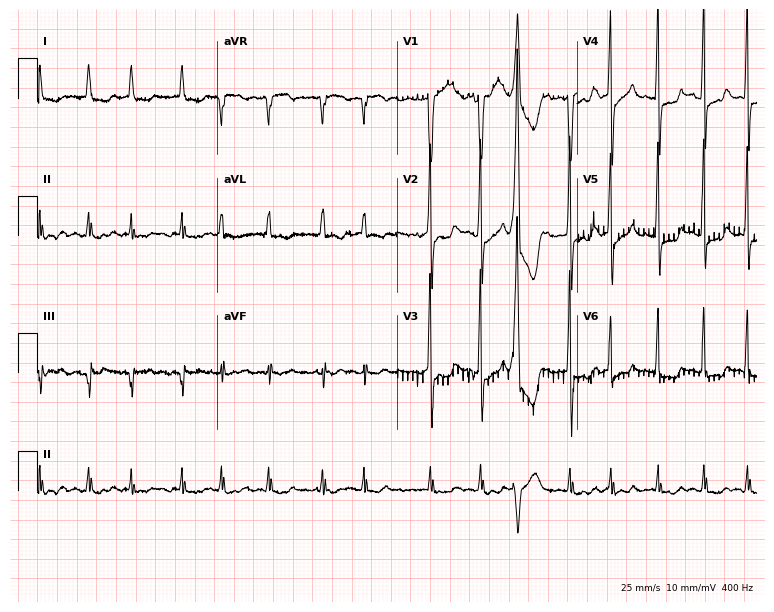
12-lead ECG from a male, 79 years old. Screened for six findings — first-degree AV block, right bundle branch block, left bundle branch block, sinus bradycardia, atrial fibrillation, sinus tachycardia — none is recorded. Findings outside these six are not listed.